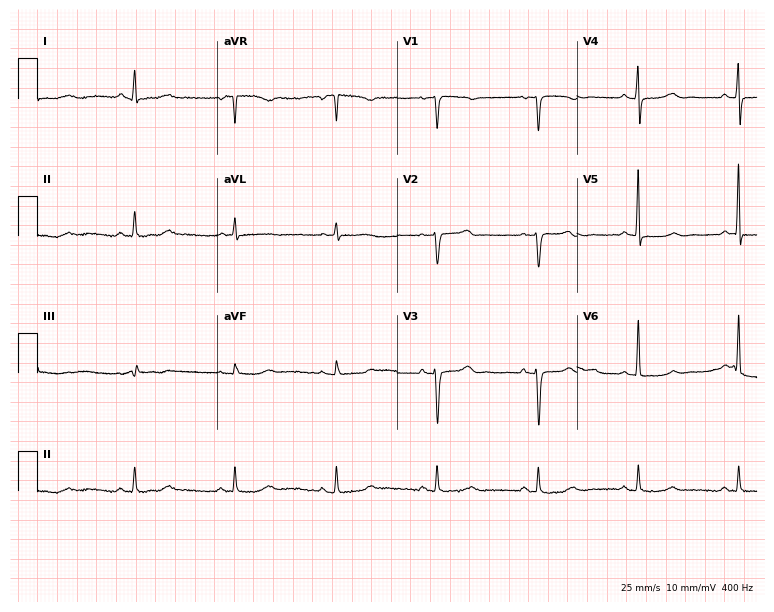
12-lead ECG from a female, 61 years old. Screened for six findings — first-degree AV block, right bundle branch block (RBBB), left bundle branch block (LBBB), sinus bradycardia, atrial fibrillation (AF), sinus tachycardia — none is recorded. Other findings, if any, are not listed.